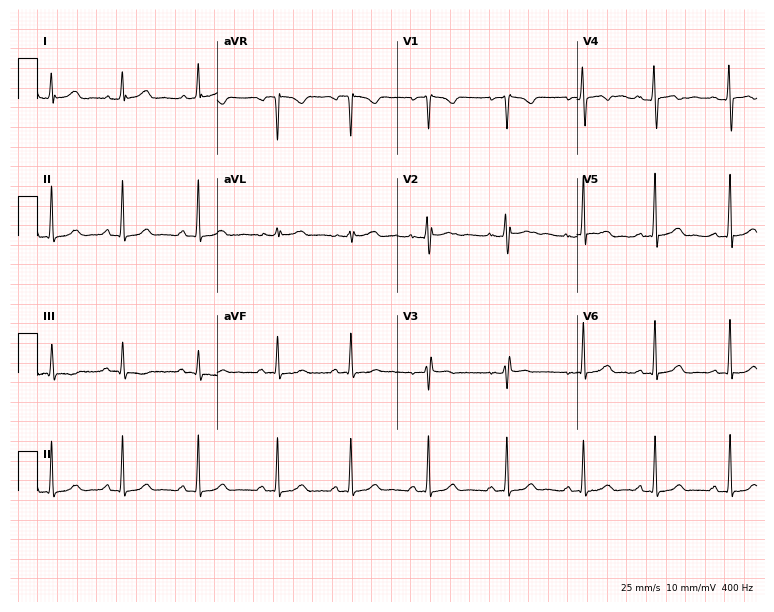
ECG — a 19-year-old female. Labelled as a normal ECG.